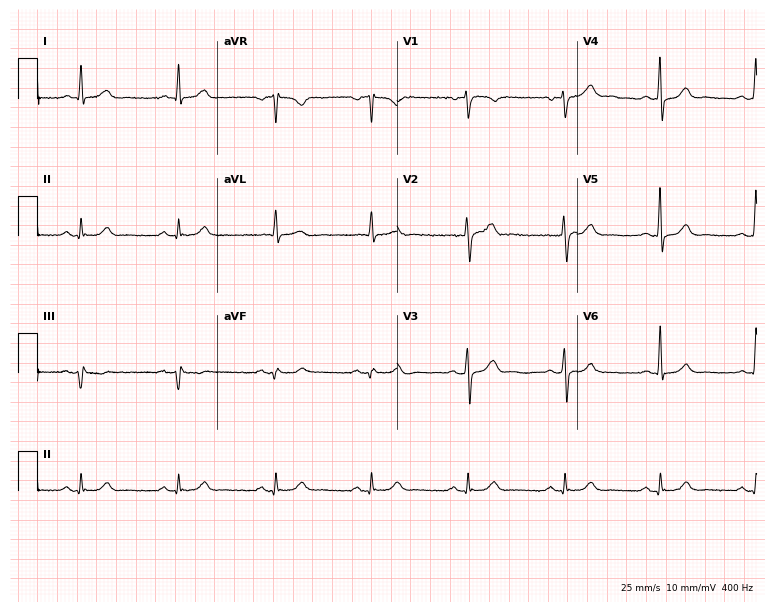
12-lead ECG (7.3-second recording at 400 Hz) from a 65-year-old male patient. Labelled as a normal ECG.